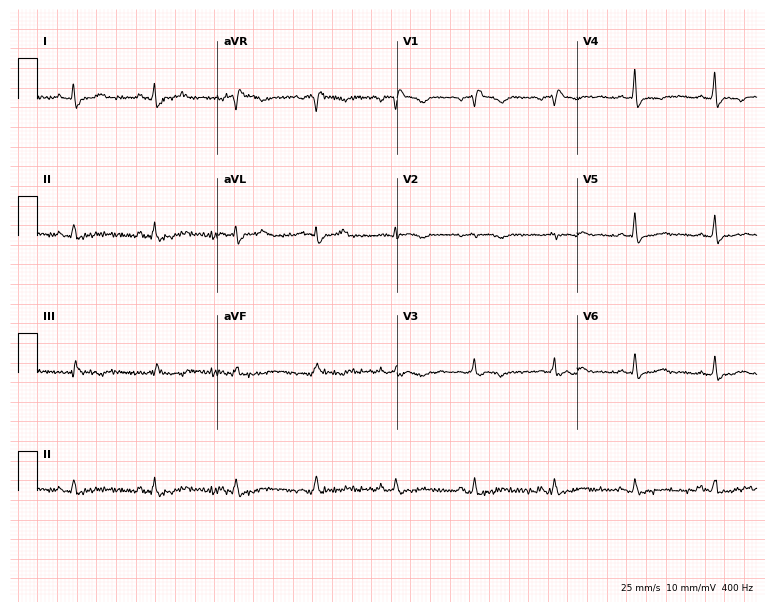
12-lead ECG from a 70-year-old female patient. Screened for six findings — first-degree AV block, right bundle branch block, left bundle branch block, sinus bradycardia, atrial fibrillation, sinus tachycardia — none is recorded. Other findings, if any, are not listed.